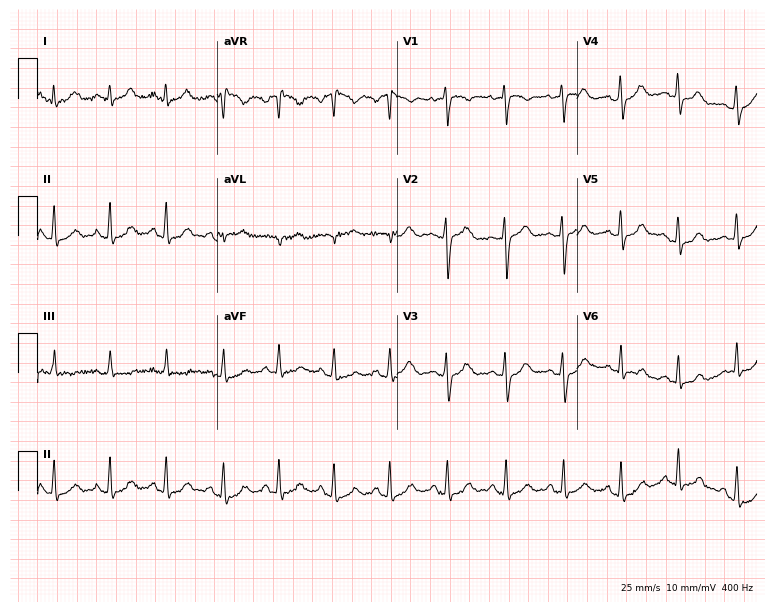
12-lead ECG from a woman, 23 years old (7.3-second recording at 400 Hz). Shows sinus tachycardia (a sinus rate of 100 beats per minute or more).